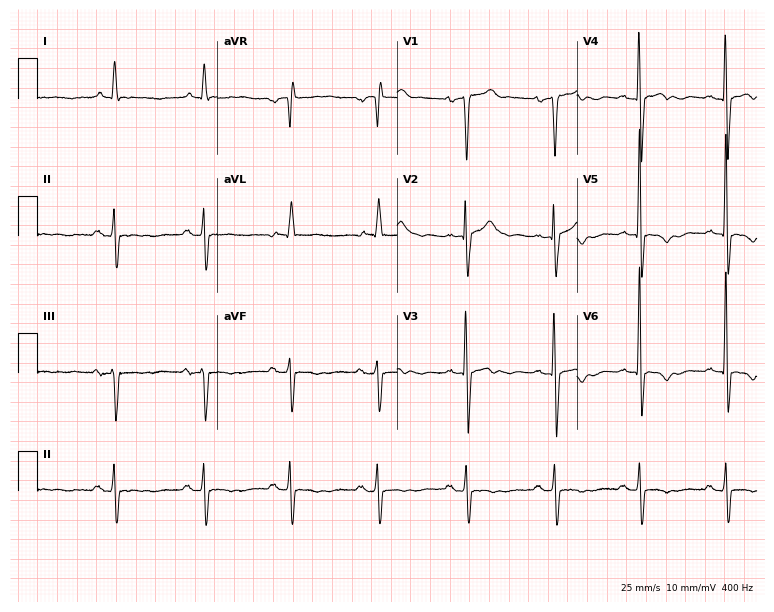
ECG — a male, 76 years old. Screened for six findings — first-degree AV block, right bundle branch block, left bundle branch block, sinus bradycardia, atrial fibrillation, sinus tachycardia — none is recorded.